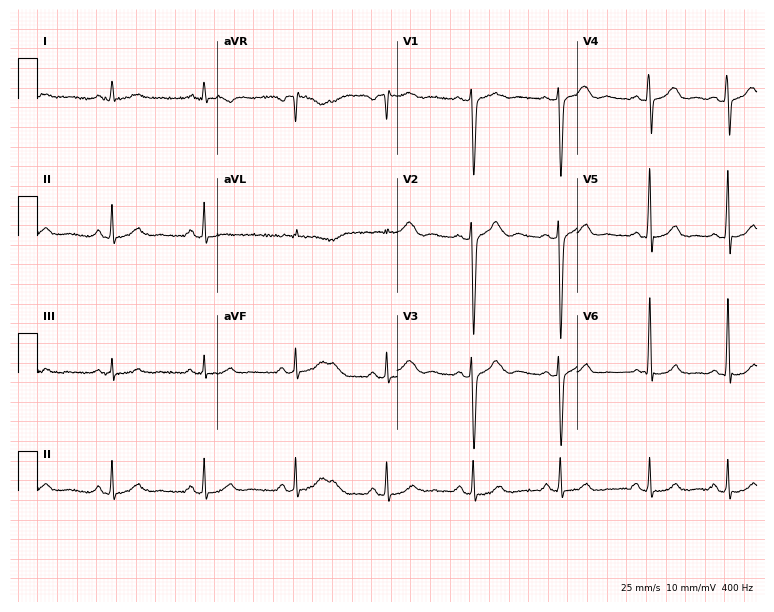
12-lead ECG from a male patient, 35 years old. Labelled as a normal ECG.